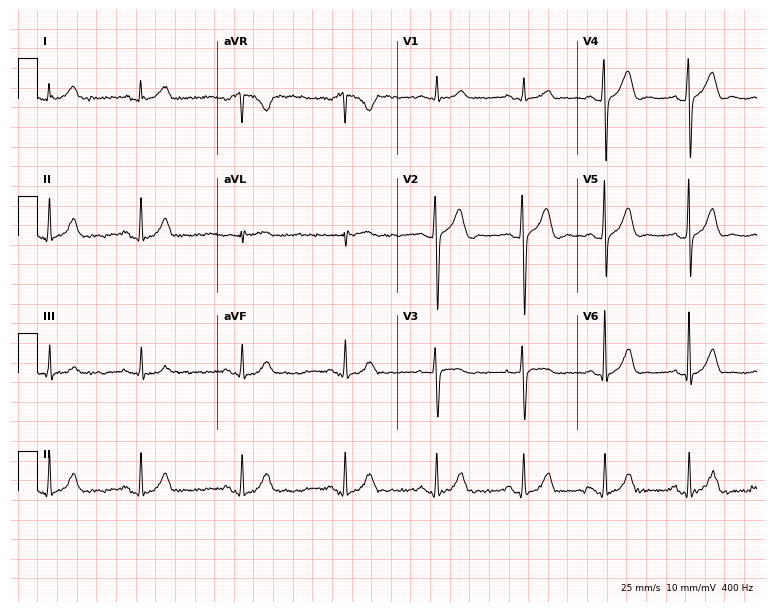
12-lead ECG (7.3-second recording at 400 Hz) from a male, 32 years old. Labelled as a normal ECG.